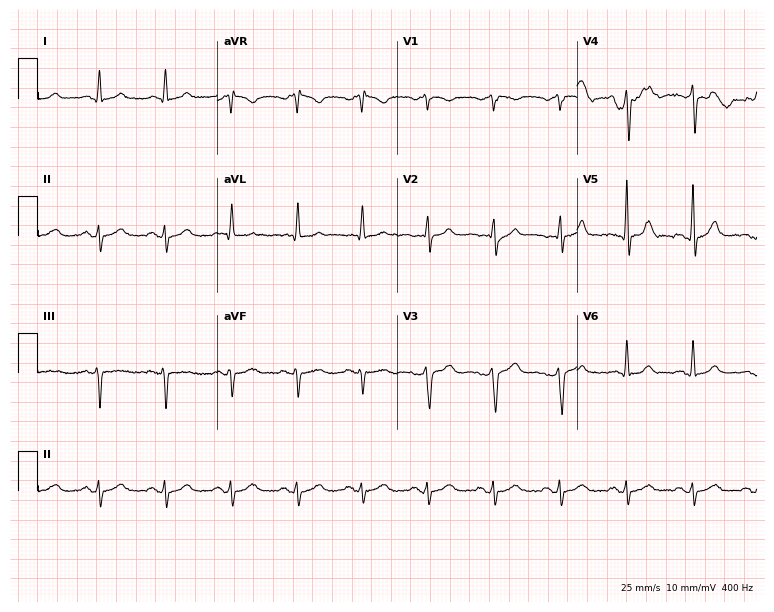
Resting 12-lead electrocardiogram. Patient: a male, 38 years old. None of these six findings is recorded: first-degree AV block, right bundle branch block, left bundle branch block, sinus bradycardia, atrial fibrillation, sinus tachycardia.